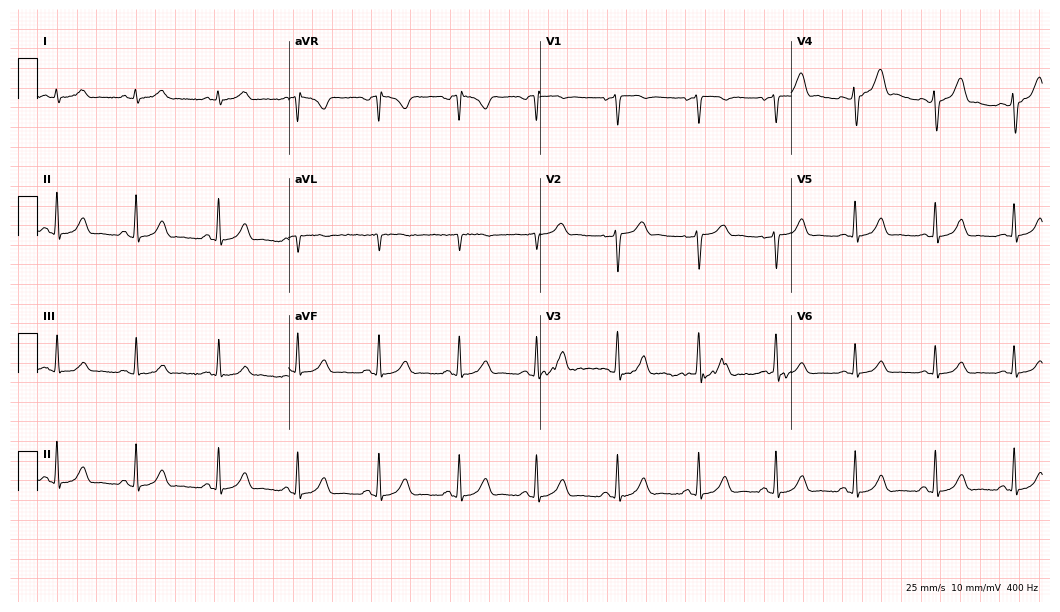
12-lead ECG (10.2-second recording at 400 Hz) from a 36-year-old man. Labelled as a normal ECG.